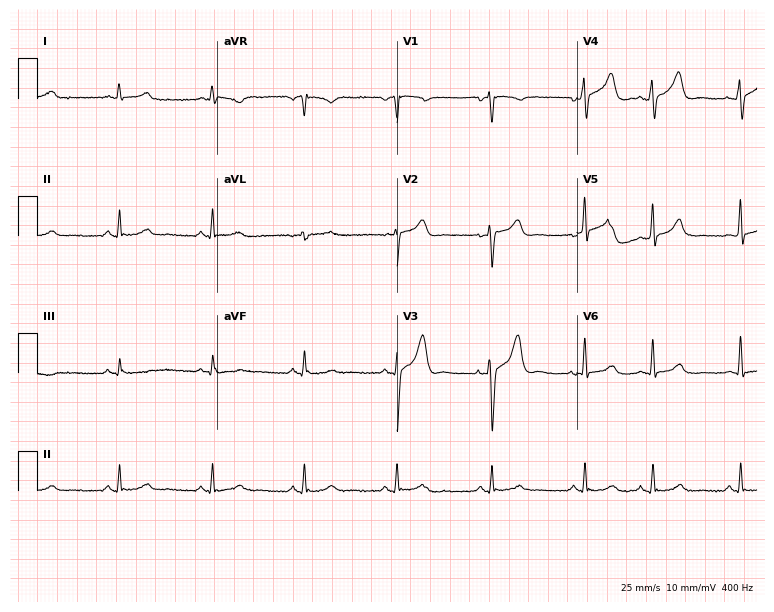
12-lead ECG from a 51-year-old male patient. Screened for six findings — first-degree AV block, right bundle branch block, left bundle branch block, sinus bradycardia, atrial fibrillation, sinus tachycardia — none is recorded. Findings outside these six are not listed.